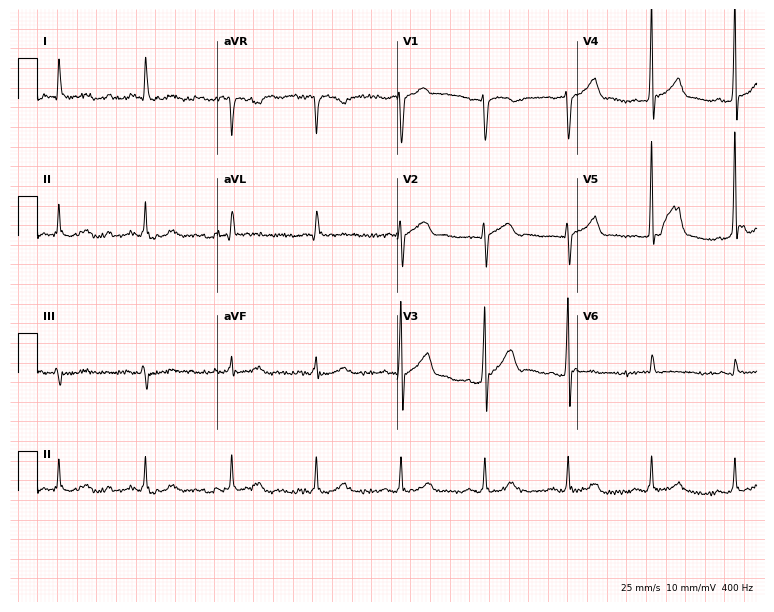
Electrocardiogram, a male patient, 66 years old. Overall reading on record: normal ECG.